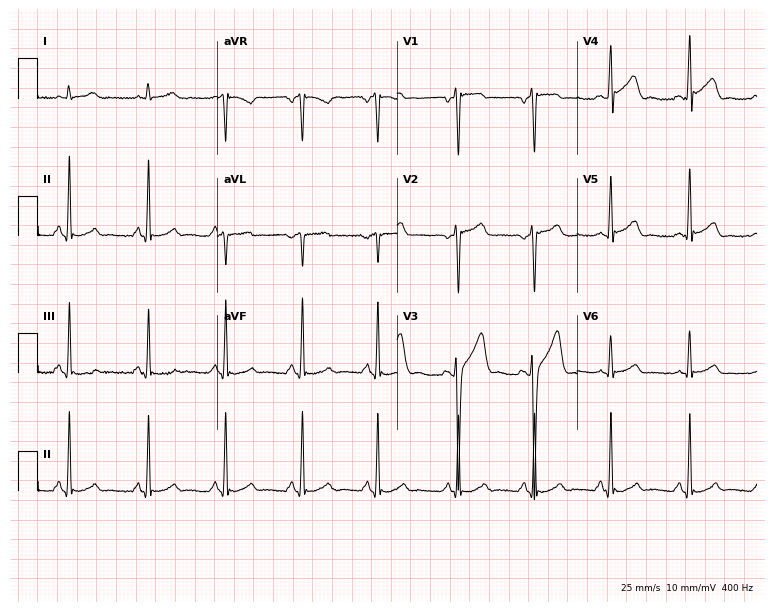
12-lead ECG from a 19-year-old male patient. Recorded interpretation: within normal limits.